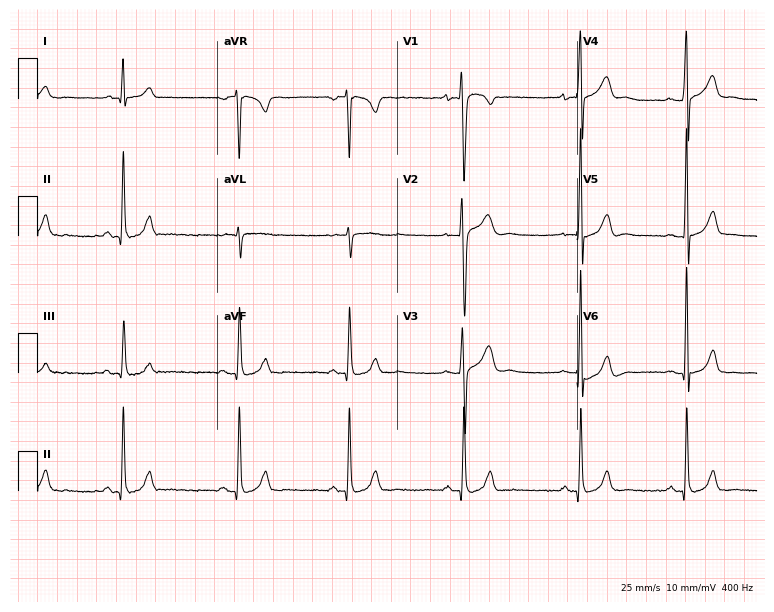
Standard 12-lead ECG recorded from a 20-year-old male patient (7.3-second recording at 400 Hz). None of these six findings is recorded: first-degree AV block, right bundle branch block, left bundle branch block, sinus bradycardia, atrial fibrillation, sinus tachycardia. Findings outside these six are not listed.